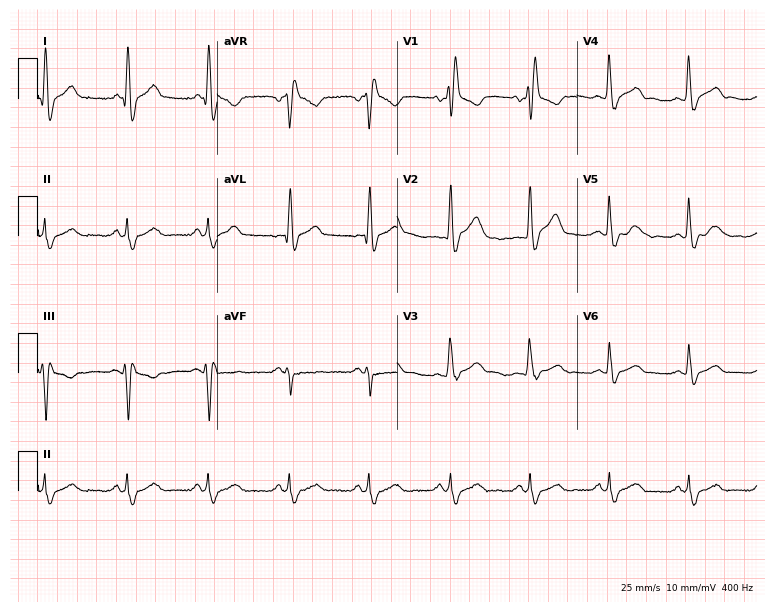
Electrocardiogram, a 51-year-old male. Interpretation includes right bundle branch block.